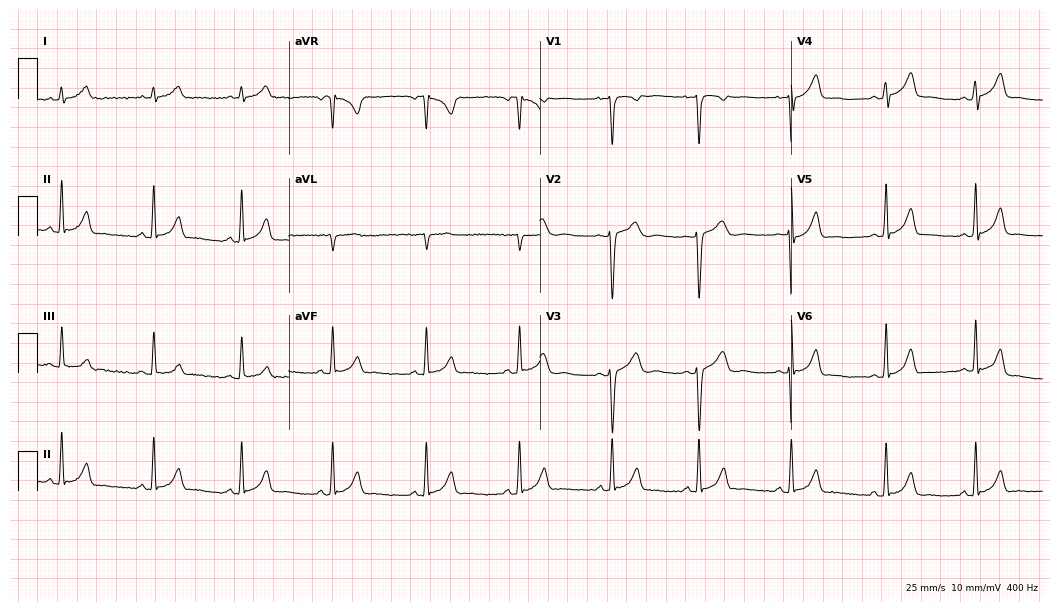
Electrocardiogram (10.2-second recording at 400 Hz), a 19-year-old female. Overall reading on record: normal ECG.